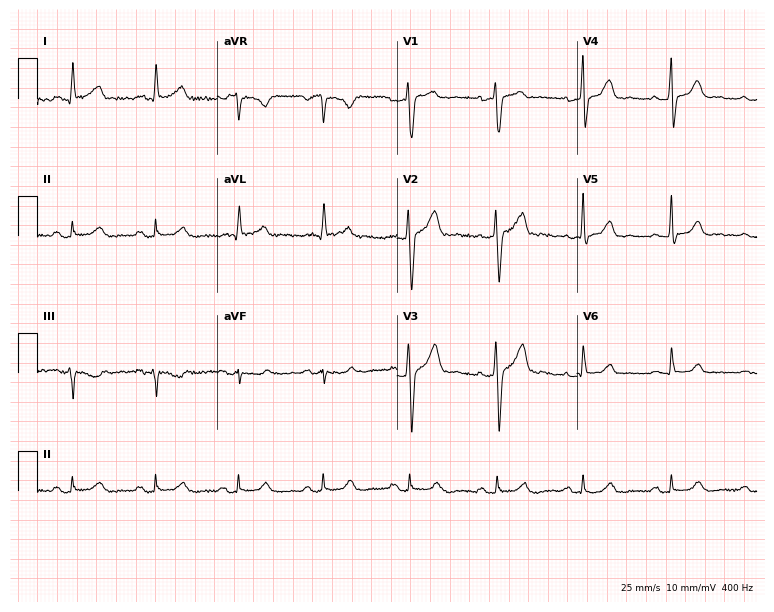
Standard 12-lead ECG recorded from a 41-year-old male (7.3-second recording at 400 Hz). Read as a normal ECG.